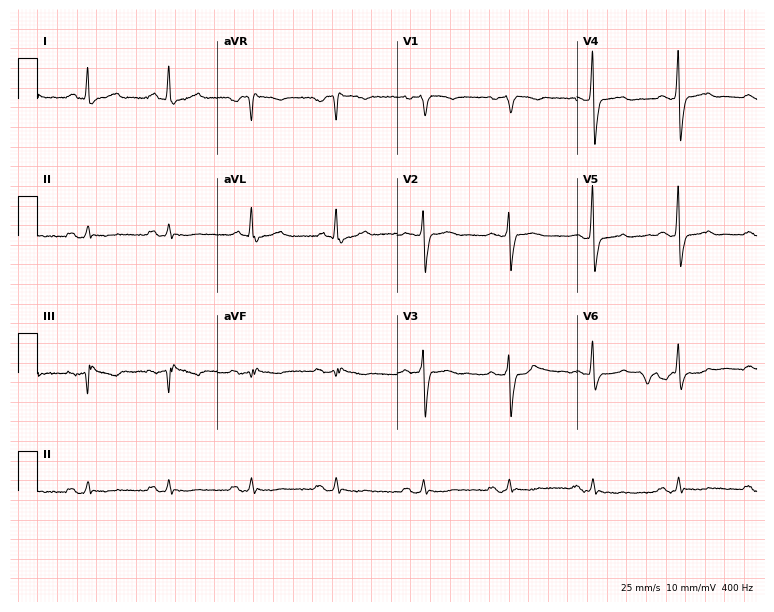
ECG (7.3-second recording at 400 Hz) — a woman, 63 years old. Screened for six findings — first-degree AV block, right bundle branch block, left bundle branch block, sinus bradycardia, atrial fibrillation, sinus tachycardia — none is recorded. Findings outside these six are not listed.